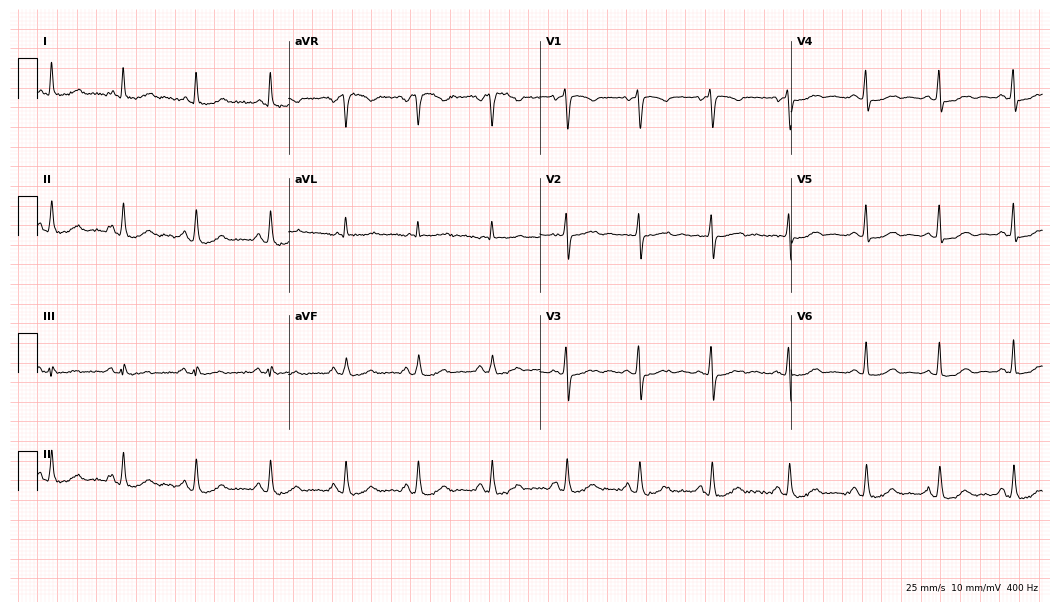
12-lead ECG from a woman, 75 years old (10.2-second recording at 400 Hz). Recorded interpretation: within normal limits.